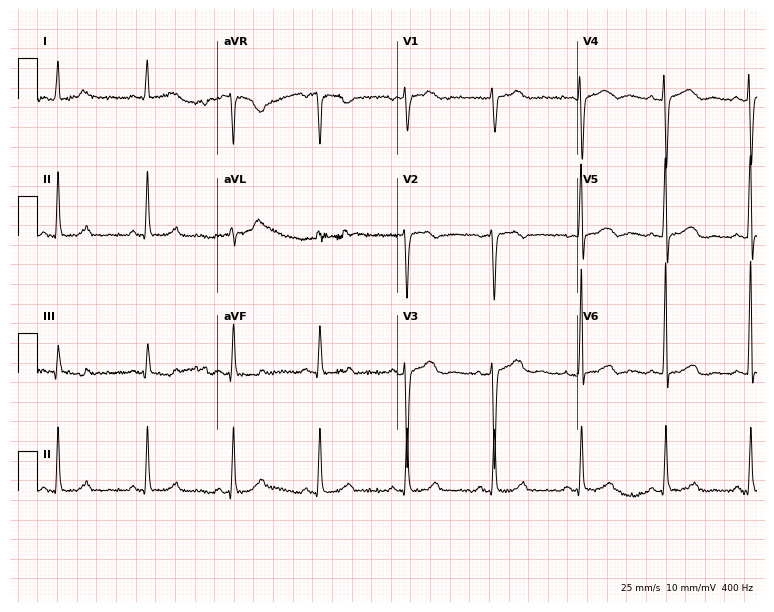
Resting 12-lead electrocardiogram (7.3-second recording at 400 Hz). Patient: a female, 46 years old. None of these six findings is recorded: first-degree AV block, right bundle branch block, left bundle branch block, sinus bradycardia, atrial fibrillation, sinus tachycardia. Other findings, if any, are not listed.